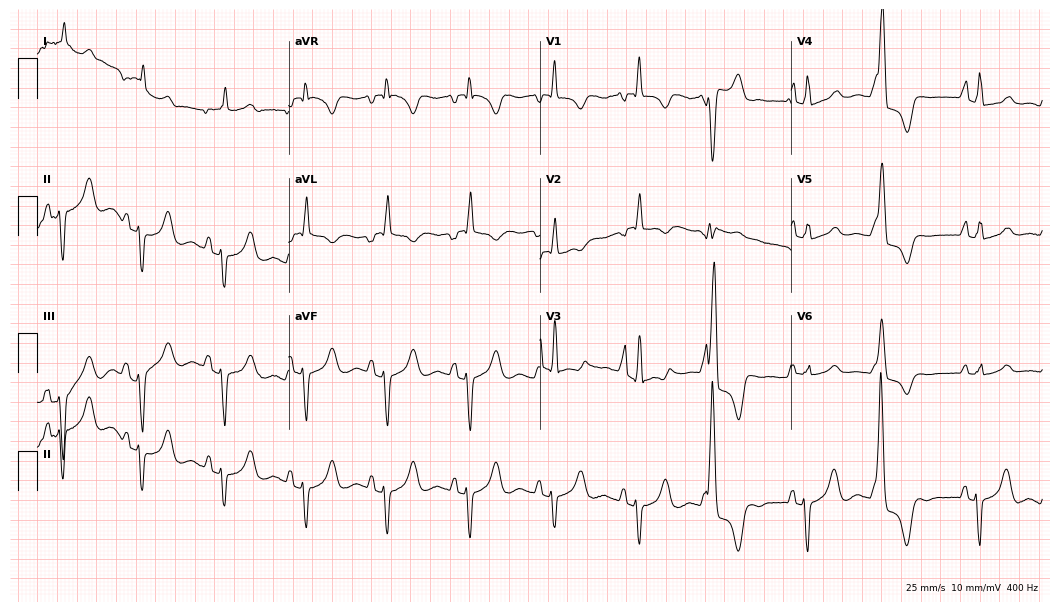
Electrocardiogram (10.2-second recording at 400 Hz), a 26-year-old female. Of the six screened findings (first-degree AV block, right bundle branch block, left bundle branch block, sinus bradycardia, atrial fibrillation, sinus tachycardia), none is recorded.